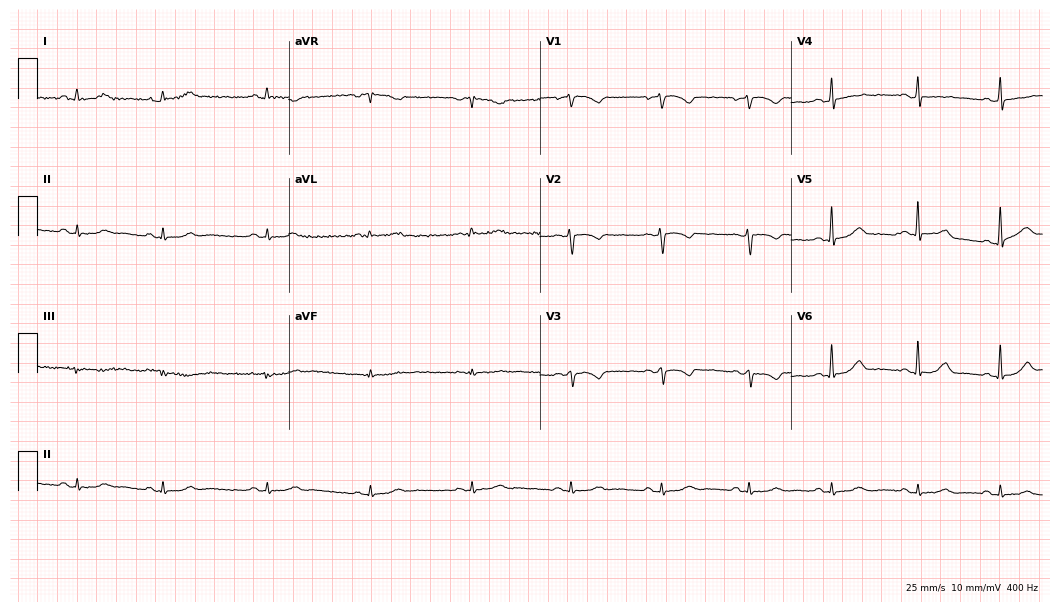
Resting 12-lead electrocardiogram. Patient: a 39-year-old female. Read as a normal ECG.